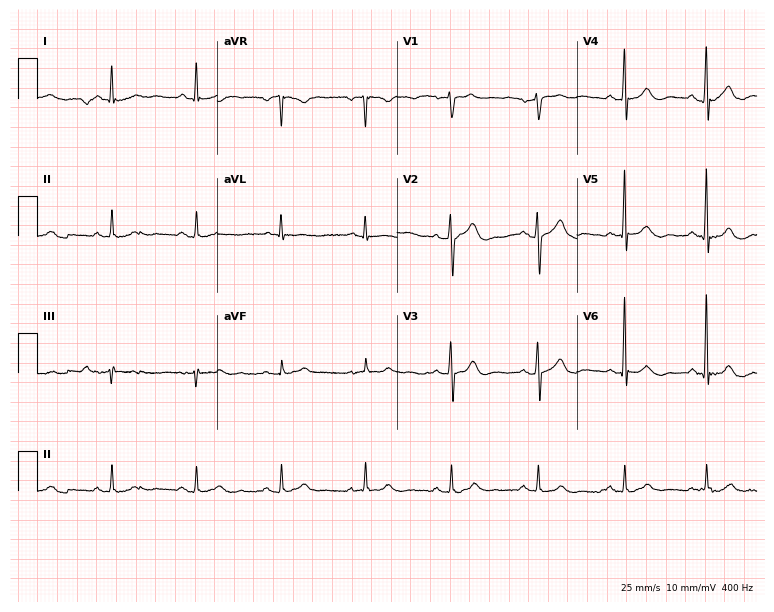
Electrocardiogram, a 77-year-old man. Of the six screened findings (first-degree AV block, right bundle branch block, left bundle branch block, sinus bradycardia, atrial fibrillation, sinus tachycardia), none is recorded.